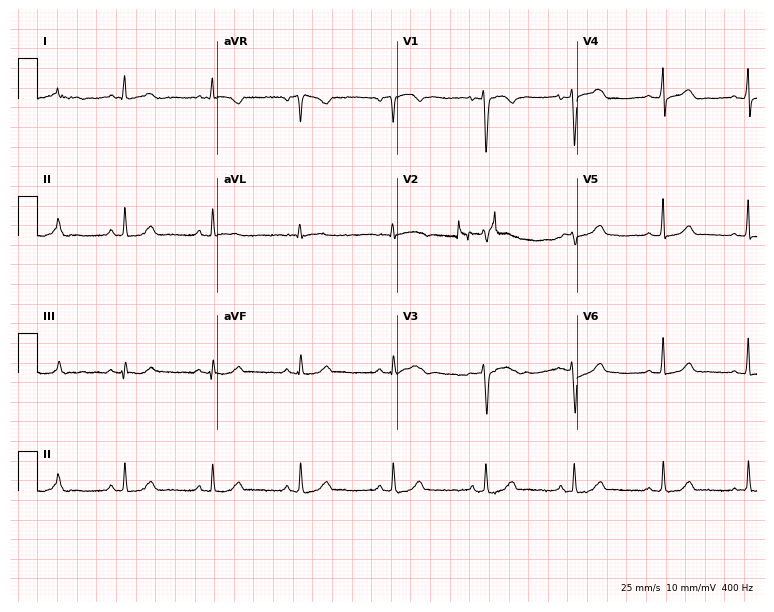
Standard 12-lead ECG recorded from a female, 29 years old (7.3-second recording at 400 Hz). Read as a normal ECG.